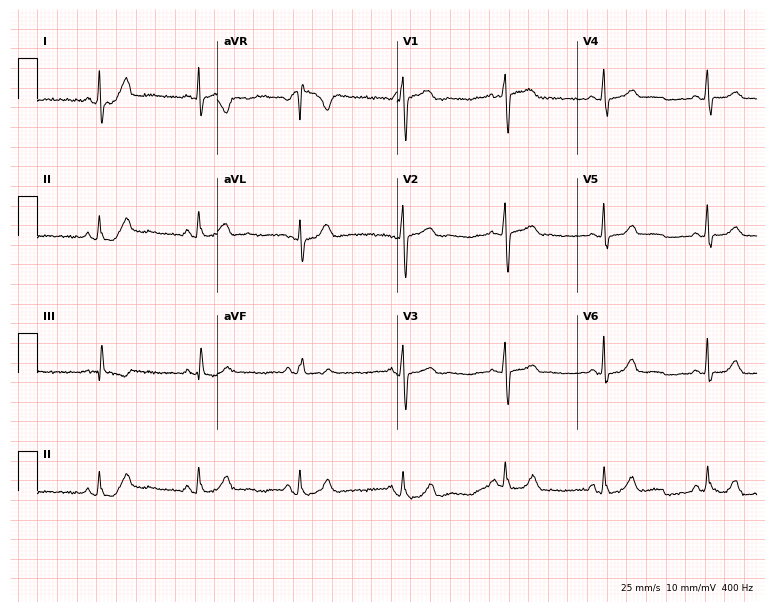
Electrocardiogram, a 50-year-old male patient. Overall reading on record: normal ECG.